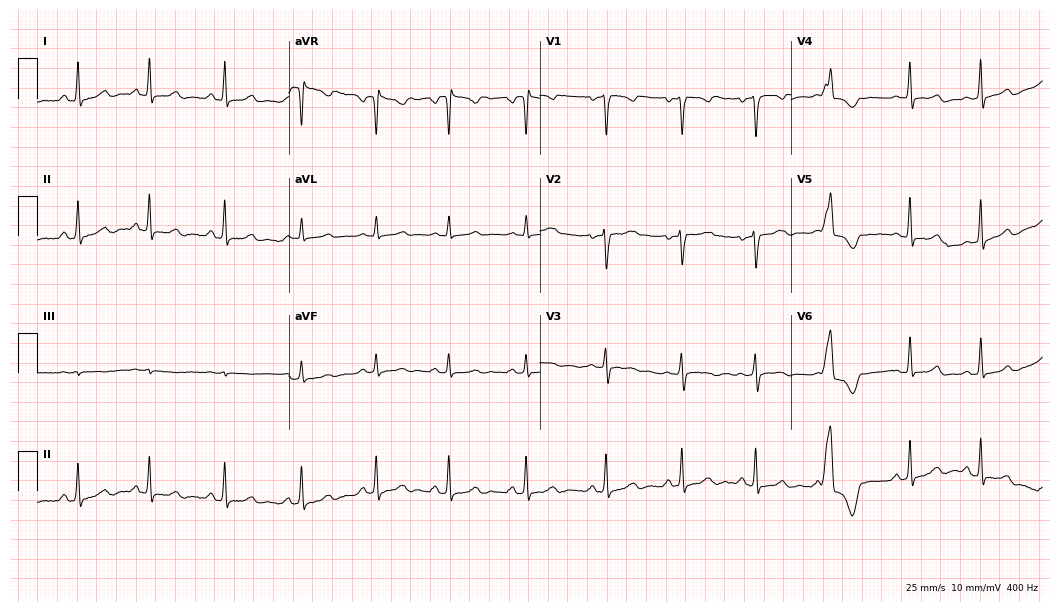
Standard 12-lead ECG recorded from a 25-year-old woman. Read as a normal ECG.